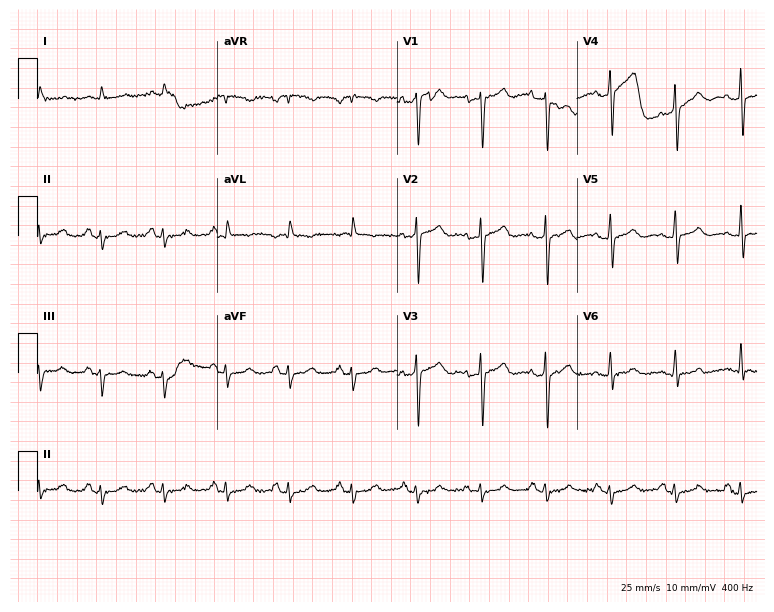
Resting 12-lead electrocardiogram (7.3-second recording at 400 Hz). Patient: a 66-year-old male. None of these six findings is recorded: first-degree AV block, right bundle branch block, left bundle branch block, sinus bradycardia, atrial fibrillation, sinus tachycardia.